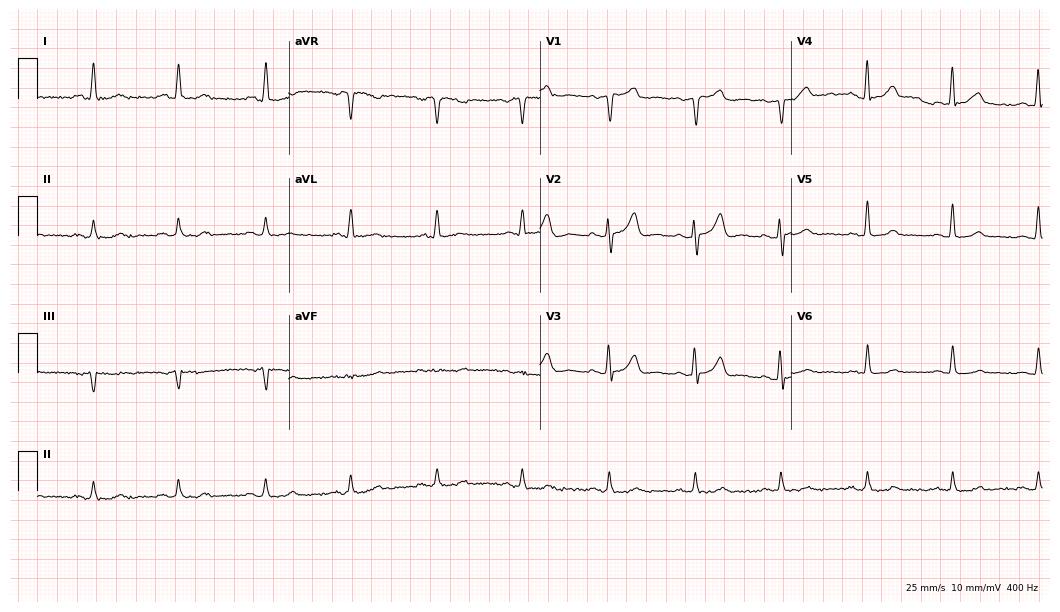
12-lead ECG from a male, 65 years old. Labelled as a normal ECG.